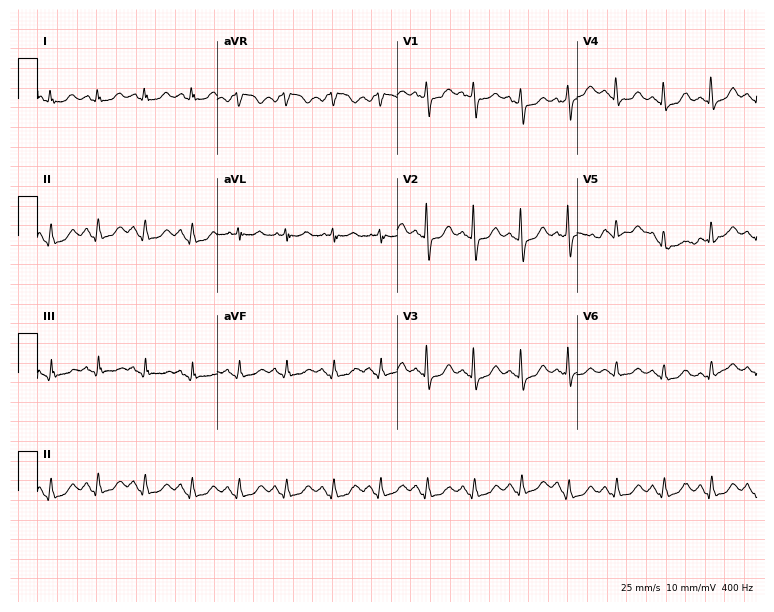
12-lead ECG from a female, 74 years old (7.3-second recording at 400 Hz). No first-degree AV block, right bundle branch block, left bundle branch block, sinus bradycardia, atrial fibrillation or sinus tachycardia recorded for this tracing.